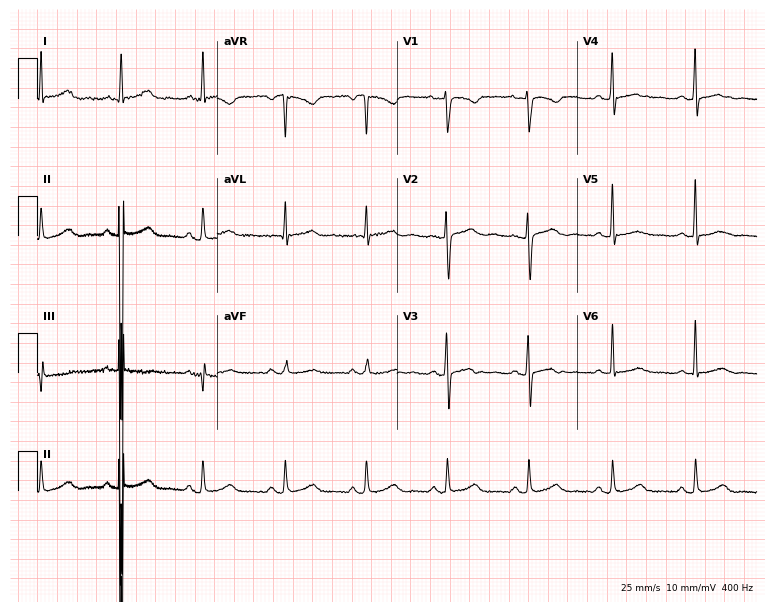
Resting 12-lead electrocardiogram. Patient: a female, 42 years old. None of these six findings is recorded: first-degree AV block, right bundle branch block, left bundle branch block, sinus bradycardia, atrial fibrillation, sinus tachycardia.